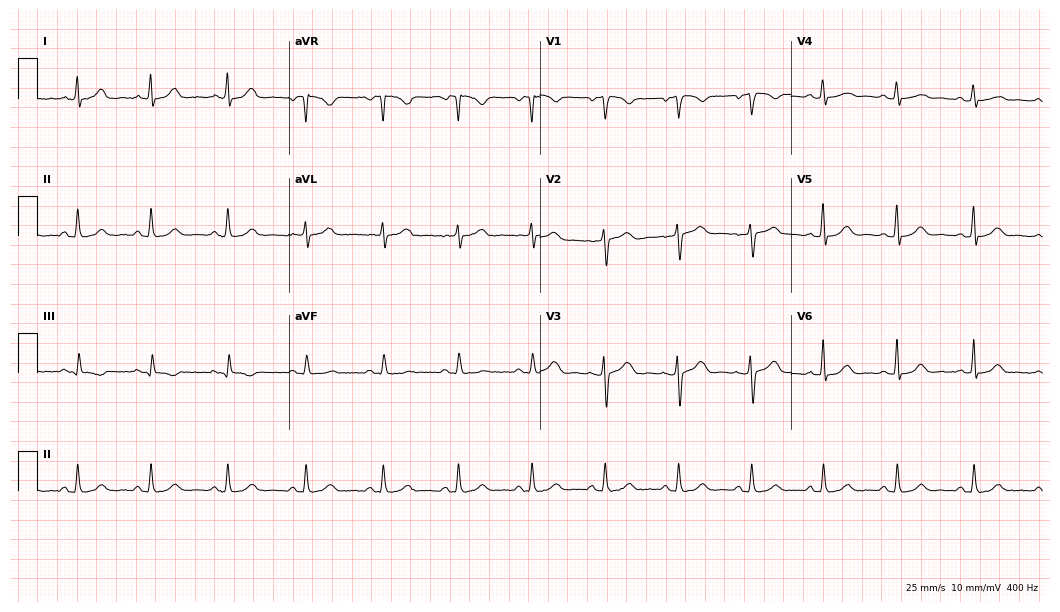
12-lead ECG from a female, 33 years old. Labelled as a normal ECG.